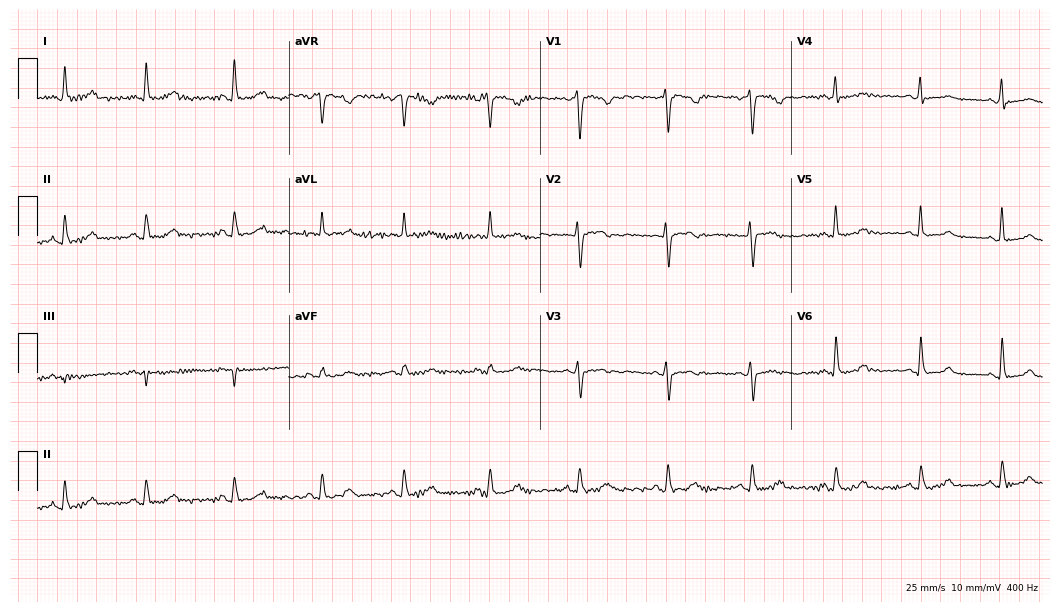
12-lead ECG from a female patient, 48 years old. No first-degree AV block, right bundle branch block, left bundle branch block, sinus bradycardia, atrial fibrillation or sinus tachycardia recorded for this tracing.